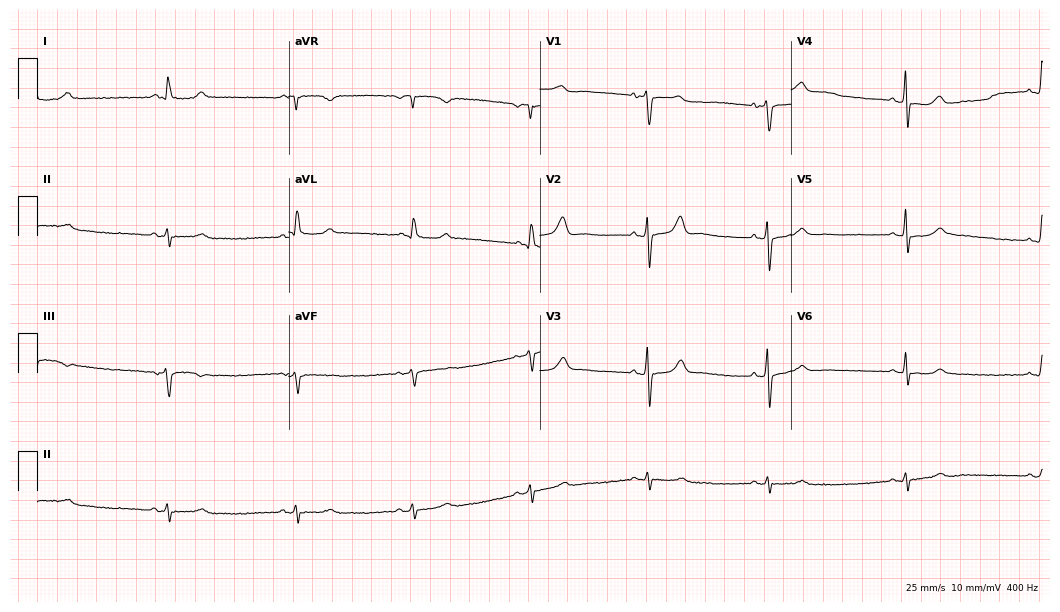
Standard 12-lead ECG recorded from a male patient, 84 years old. The tracing shows sinus bradycardia (a sinus rate of 50 beats per minute or less).